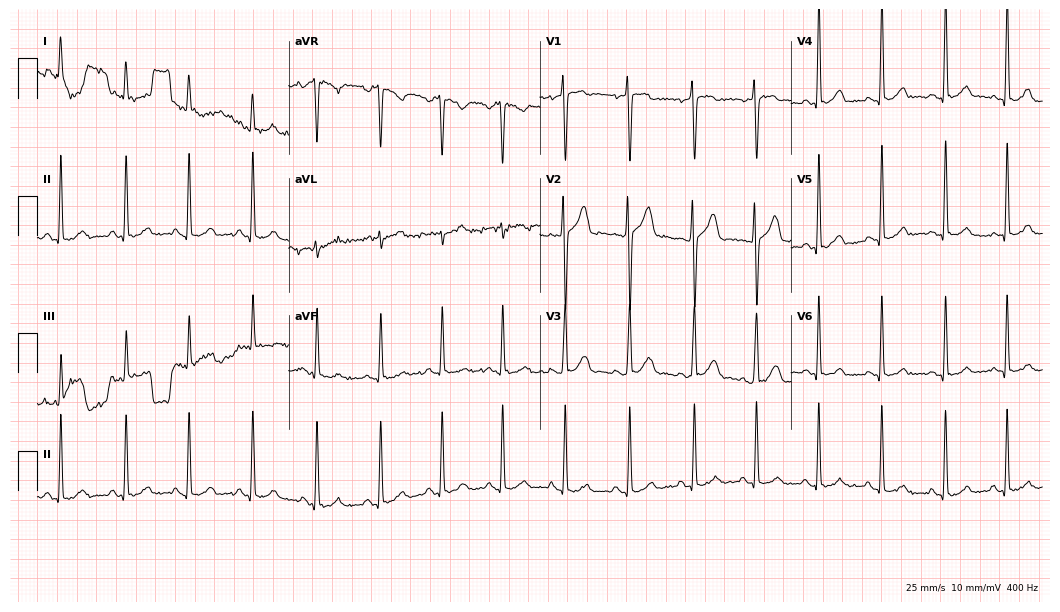
12-lead ECG (10.2-second recording at 400 Hz) from a male, 21 years old. Screened for six findings — first-degree AV block, right bundle branch block (RBBB), left bundle branch block (LBBB), sinus bradycardia, atrial fibrillation (AF), sinus tachycardia — none is recorded. Findings outside these six are not listed.